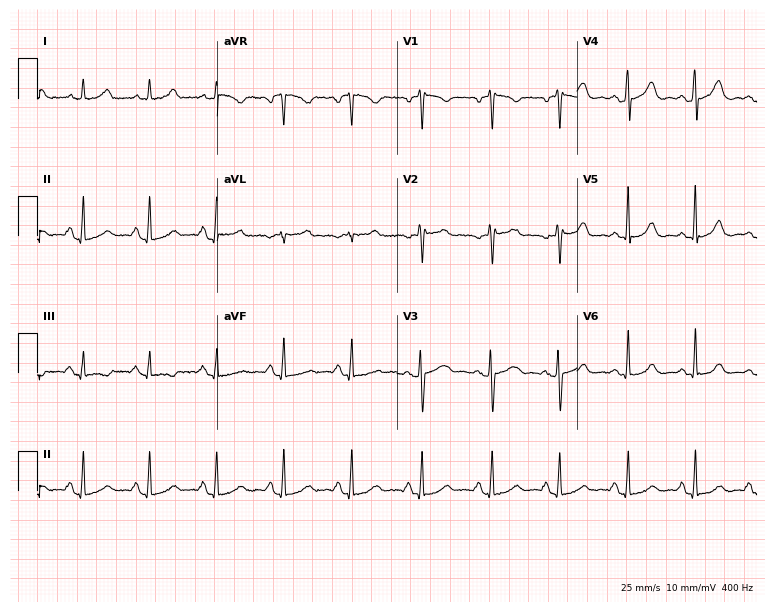
Resting 12-lead electrocardiogram (7.3-second recording at 400 Hz). Patient: a 47-year-old woman. None of these six findings is recorded: first-degree AV block, right bundle branch block, left bundle branch block, sinus bradycardia, atrial fibrillation, sinus tachycardia.